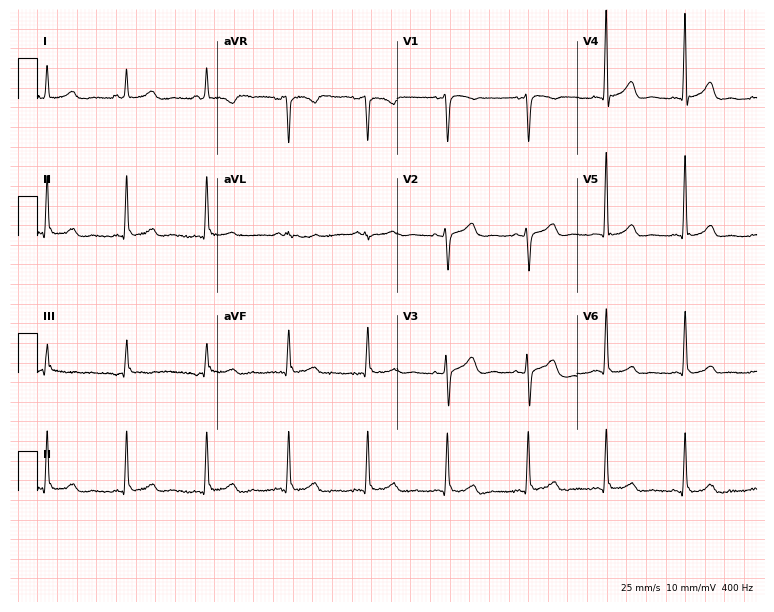
Resting 12-lead electrocardiogram (7.3-second recording at 400 Hz). Patient: a 72-year-old female. None of these six findings is recorded: first-degree AV block, right bundle branch block, left bundle branch block, sinus bradycardia, atrial fibrillation, sinus tachycardia. Other findings, if any, are not listed.